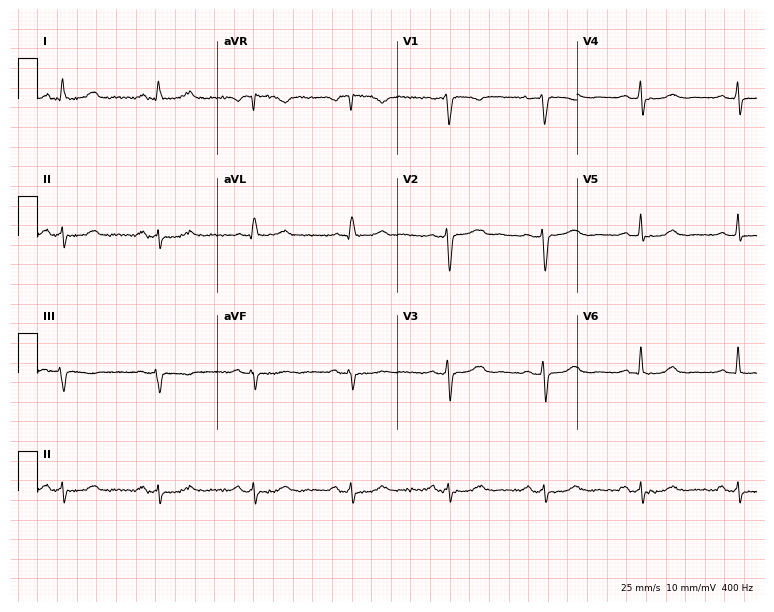
12-lead ECG from a female patient, 56 years old (7.3-second recording at 400 Hz). No first-degree AV block, right bundle branch block (RBBB), left bundle branch block (LBBB), sinus bradycardia, atrial fibrillation (AF) or sinus tachycardia recorded for this tracing. Other findings, if any, are not listed.